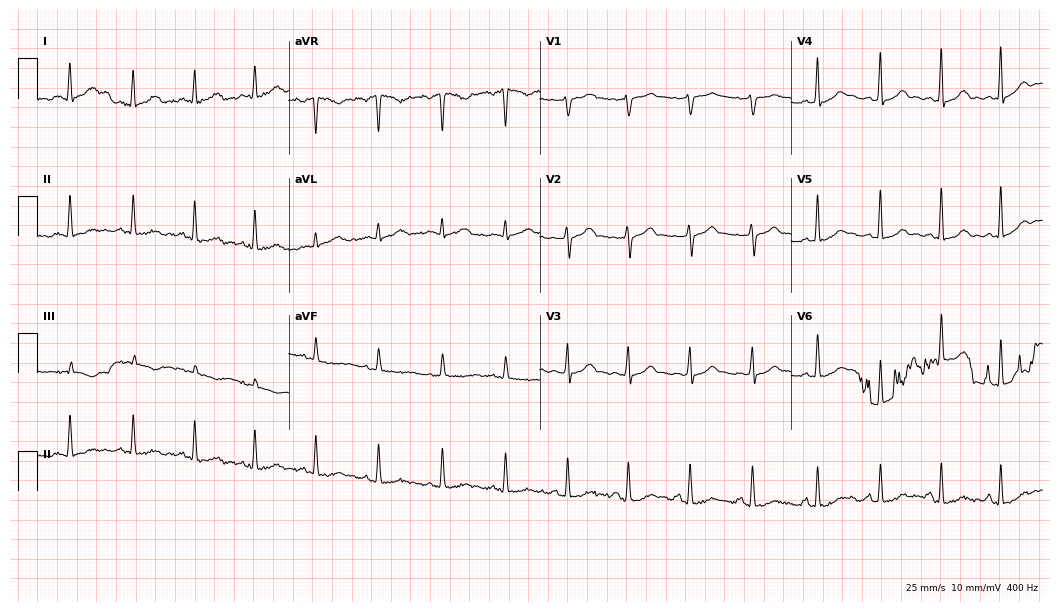
Electrocardiogram (10.2-second recording at 400 Hz), a 34-year-old woman. Of the six screened findings (first-degree AV block, right bundle branch block (RBBB), left bundle branch block (LBBB), sinus bradycardia, atrial fibrillation (AF), sinus tachycardia), none is recorded. Other findings, if any, are not listed.